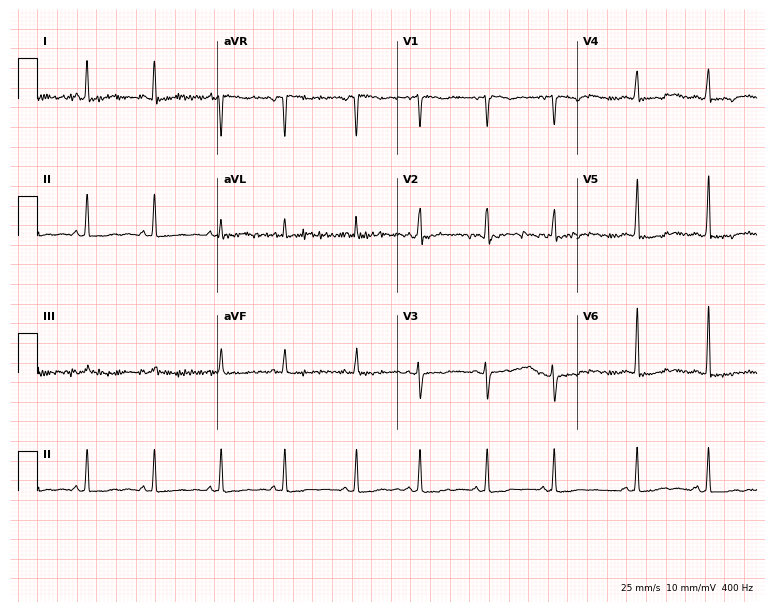
12-lead ECG from a 30-year-old female (7.3-second recording at 400 Hz). No first-degree AV block, right bundle branch block, left bundle branch block, sinus bradycardia, atrial fibrillation or sinus tachycardia recorded for this tracing.